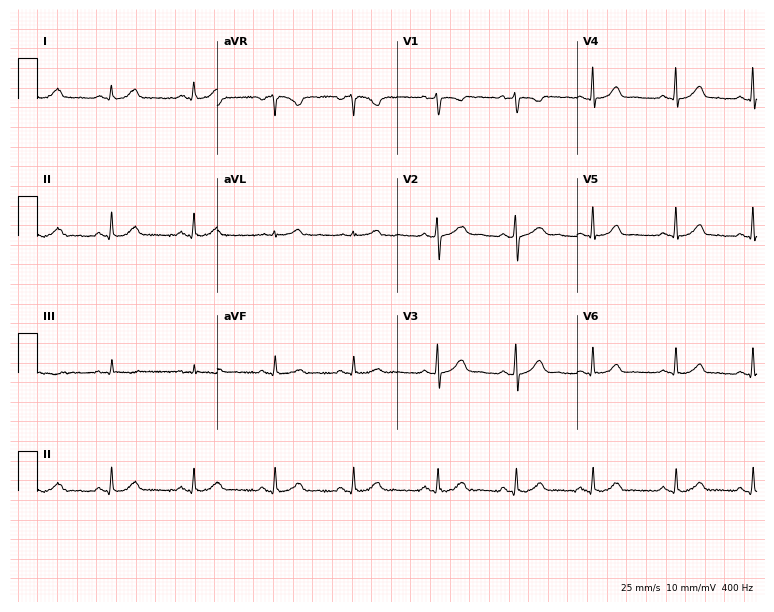
Electrocardiogram (7.3-second recording at 400 Hz), a 31-year-old woman. Overall reading on record: normal ECG.